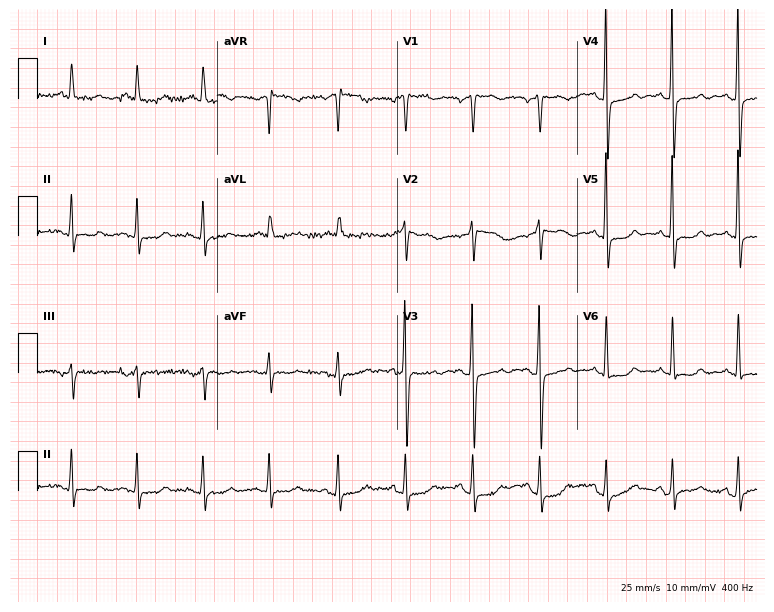
ECG (7.3-second recording at 400 Hz) — an 82-year-old woman. Labelled as a normal ECG.